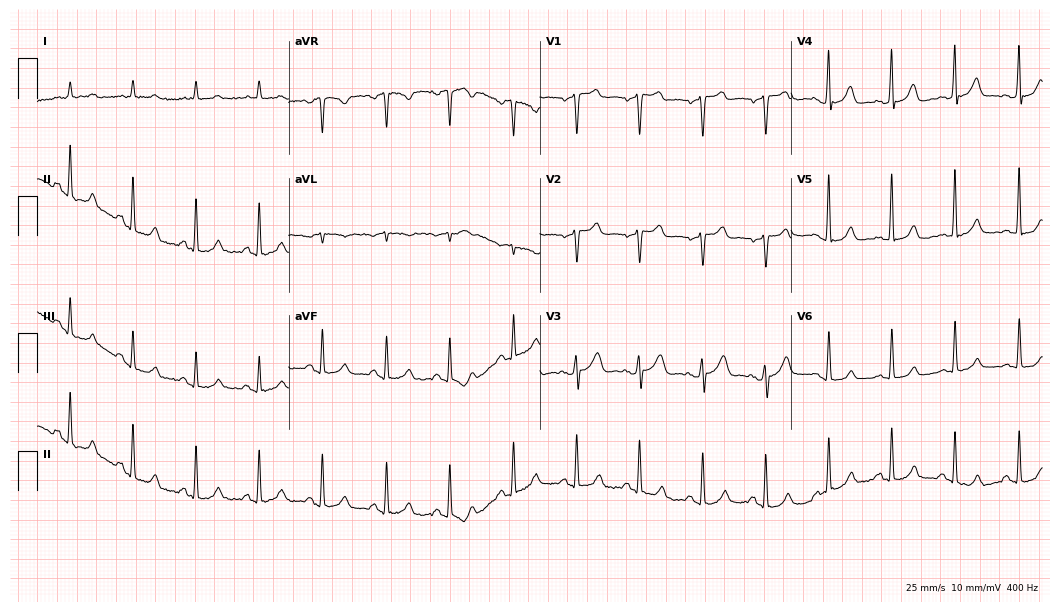
ECG (10.2-second recording at 400 Hz) — a man, 52 years old. Labelled as a normal ECG.